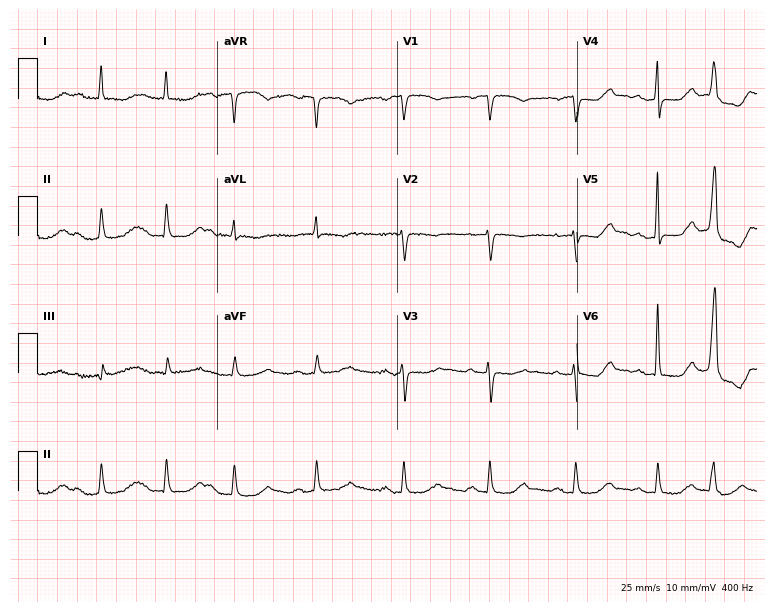
12-lead ECG from a 68-year-old female patient. No first-degree AV block, right bundle branch block (RBBB), left bundle branch block (LBBB), sinus bradycardia, atrial fibrillation (AF) or sinus tachycardia recorded for this tracing. Other findings, if any, are not listed.